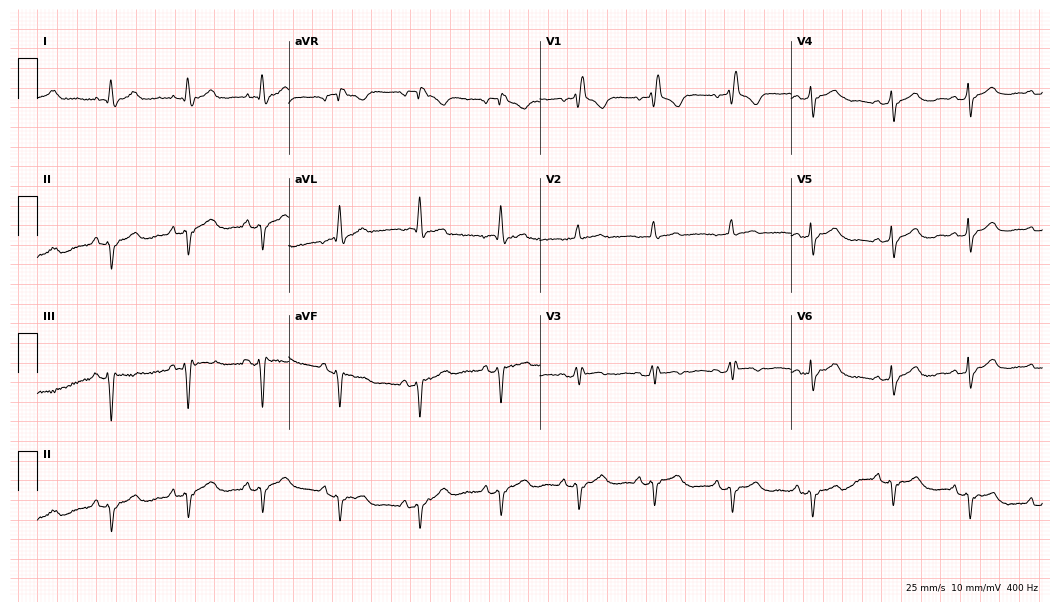
12-lead ECG from a female, 76 years old (10.2-second recording at 400 Hz). No first-degree AV block, right bundle branch block (RBBB), left bundle branch block (LBBB), sinus bradycardia, atrial fibrillation (AF) or sinus tachycardia recorded for this tracing. Only these six findings were labelled.